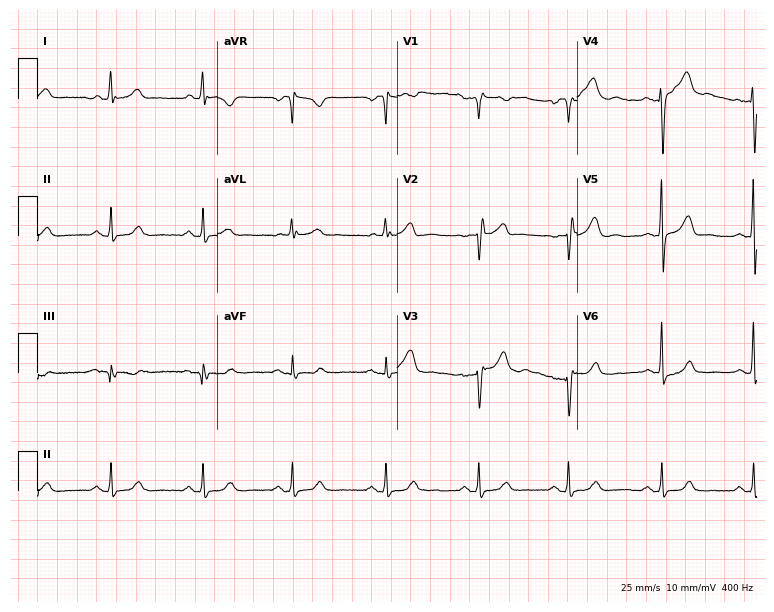
12-lead ECG from a 51-year-old female patient. Recorded interpretation: within normal limits.